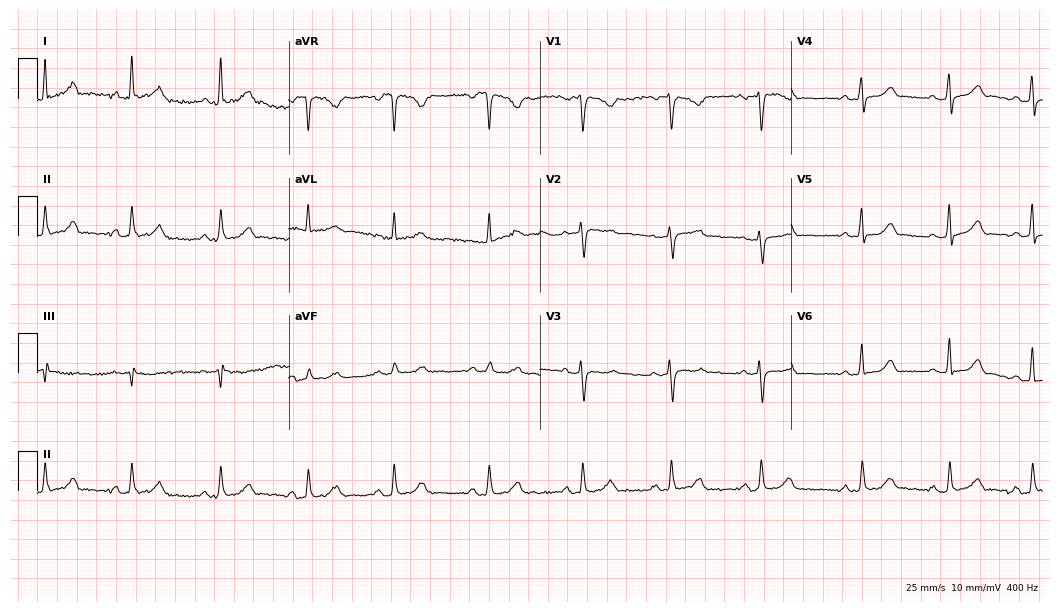
12-lead ECG from a female, 33 years old (10.2-second recording at 400 Hz). Recorded interpretation: within normal limits.